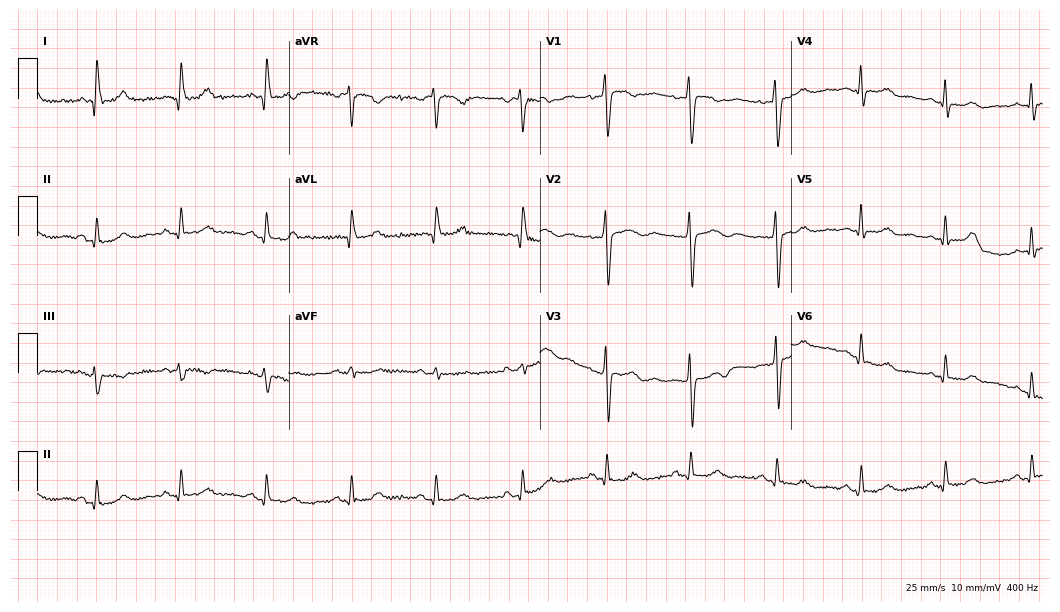
ECG — a 59-year-old female patient. Screened for six findings — first-degree AV block, right bundle branch block (RBBB), left bundle branch block (LBBB), sinus bradycardia, atrial fibrillation (AF), sinus tachycardia — none is recorded.